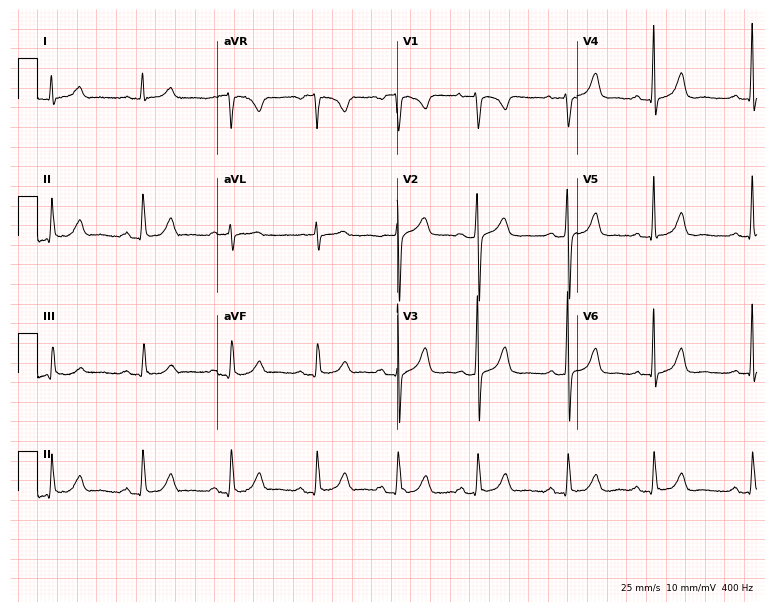
Resting 12-lead electrocardiogram. Patient: a woman, 32 years old. None of these six findings is recorded: first-degree AV block, right bundle branch block, left bundle branch block, sinus bradycardia, atrial fibrillation, sinus tachycardia. Only these six findings were labelled.